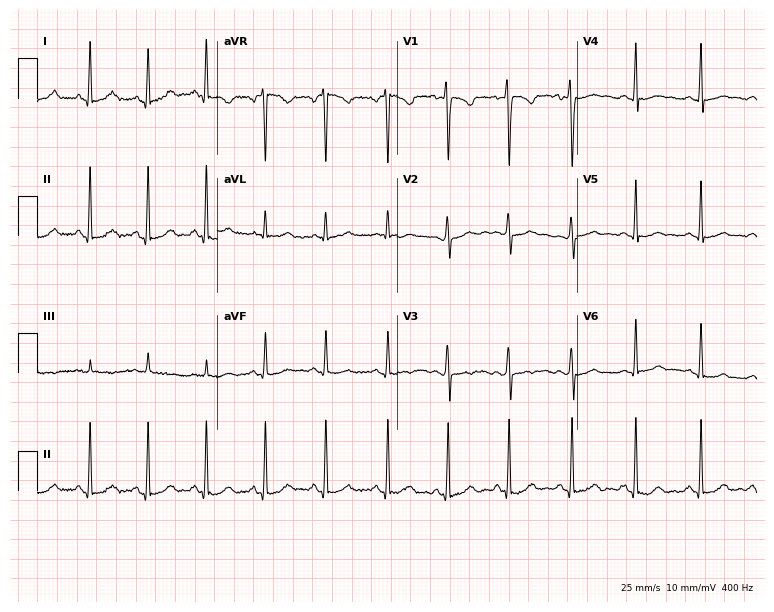
Standard 12-lead ECG recorded from a female, 20 years old (7.3-second recording at 400 Hz). Read as a normal ECG.